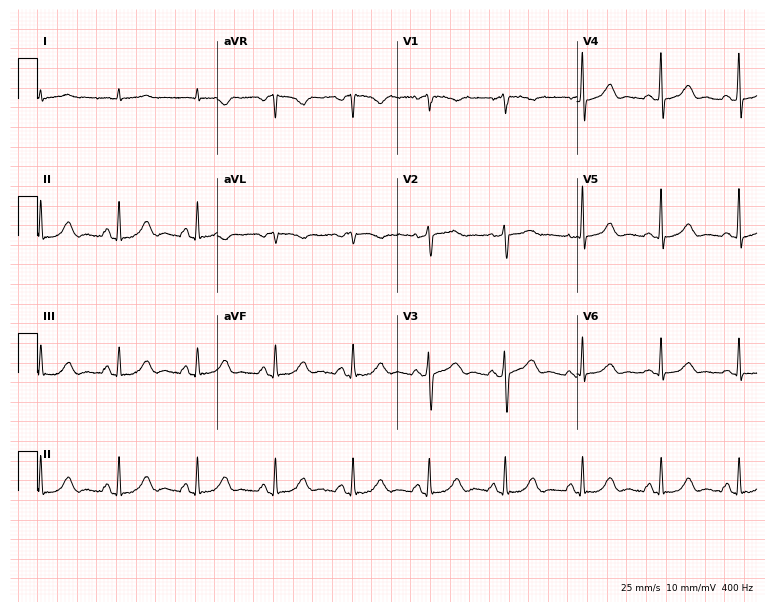
ECG (7.3-second recording at 400 Hz) — a male patient, 77 years old. Labelled as a normal ECG.